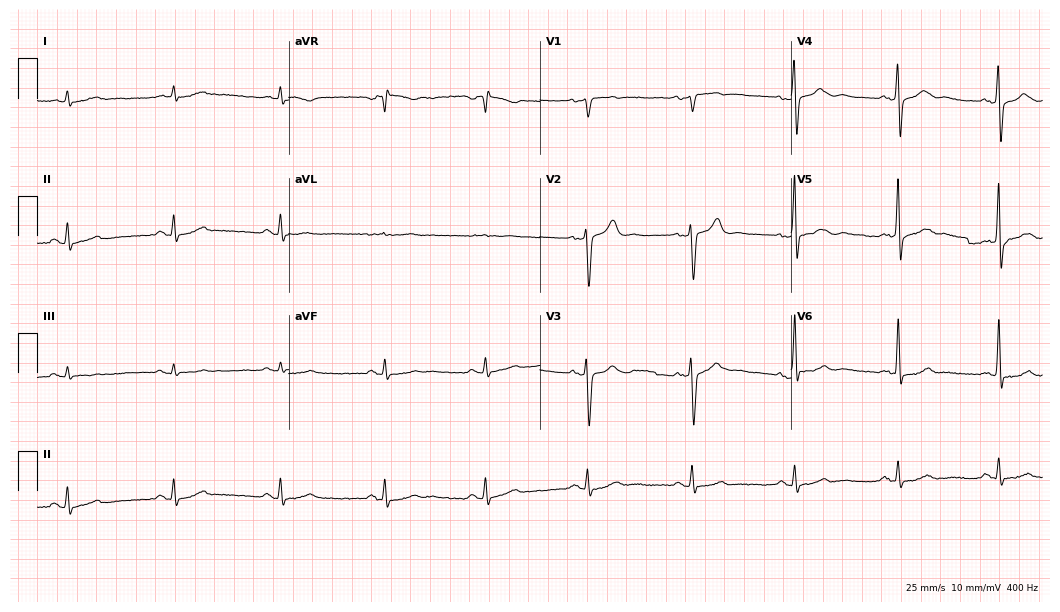
12-lead ECG from a male patient, 62 years old (10.2-second recording at 400 Hz). No first-degree AV block, right bundle branch block (RBBB), left bundle branch block (LBBB), sinus bradycardia, atrial fibrillation (AF) or sinus tachycardia recorded for this tracing.